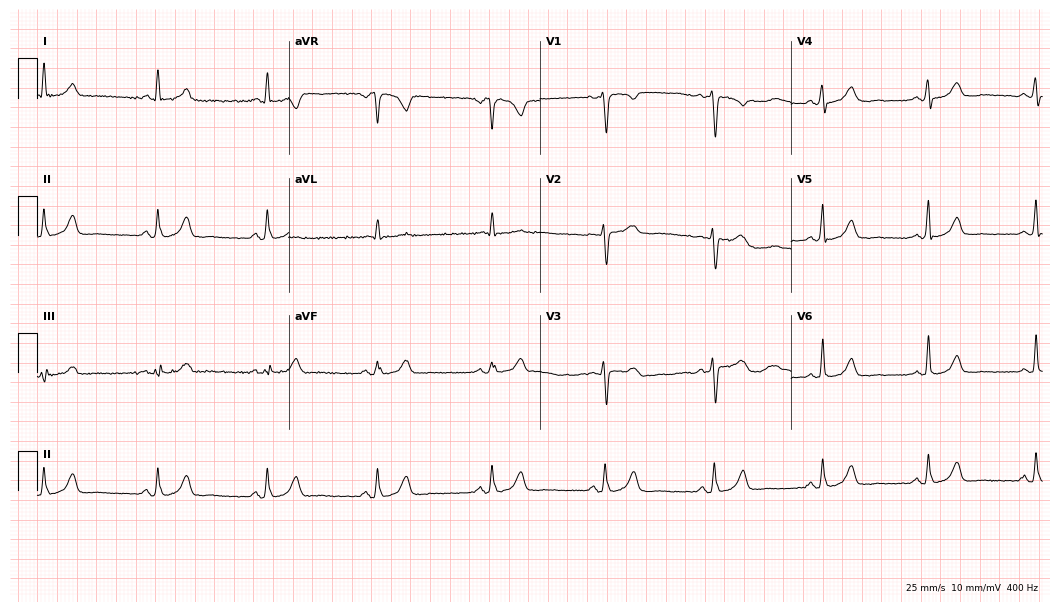
Resting 12-lead electrocardiogram (10.2-second recording at 400 Hz). Patient: a 54-year-old female. Read as a normal ECG.